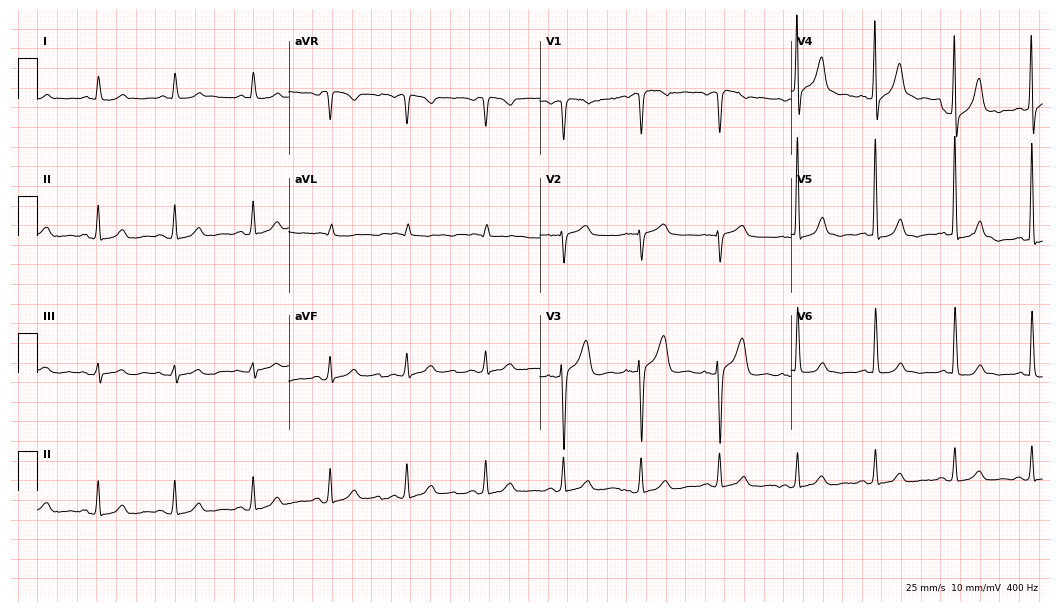
Resting 12-lead electrocardiogram. Patient: a 50-year-old male. Read as a normal ECG.